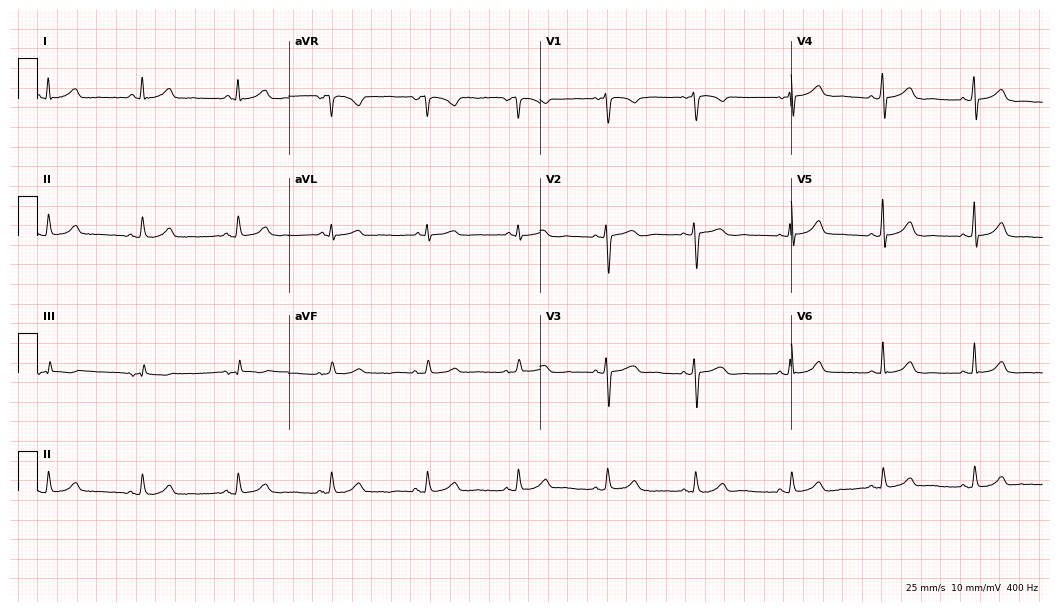
Electrocardiogram (10.2-second recording at 400 Hz), a 51-year-old female. Of the six screened findings (first-degree AV block, right bundle branch block, left bundle branch block, sinus bradycardia, atrial fibrillation, sinus tachycardia), none is recorded. Findings outside these six are not listed.